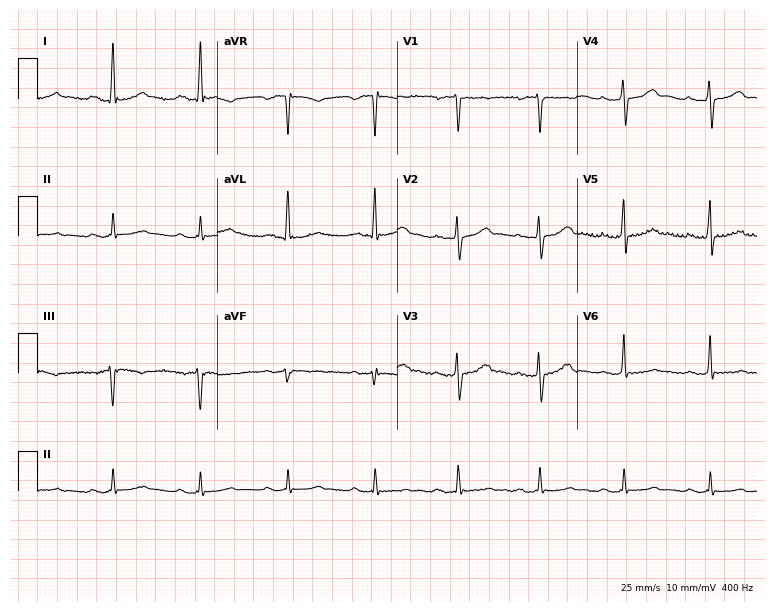
Electrocardiogram, a female patient, 60 years old. Of the six screened findings (first-degree AV block, right bundle branch block, left bundle branch block, sinus bradycardia, atrial fibrillation, sinus tachycardia), none is recorded. Other findings, if any, are not listed.